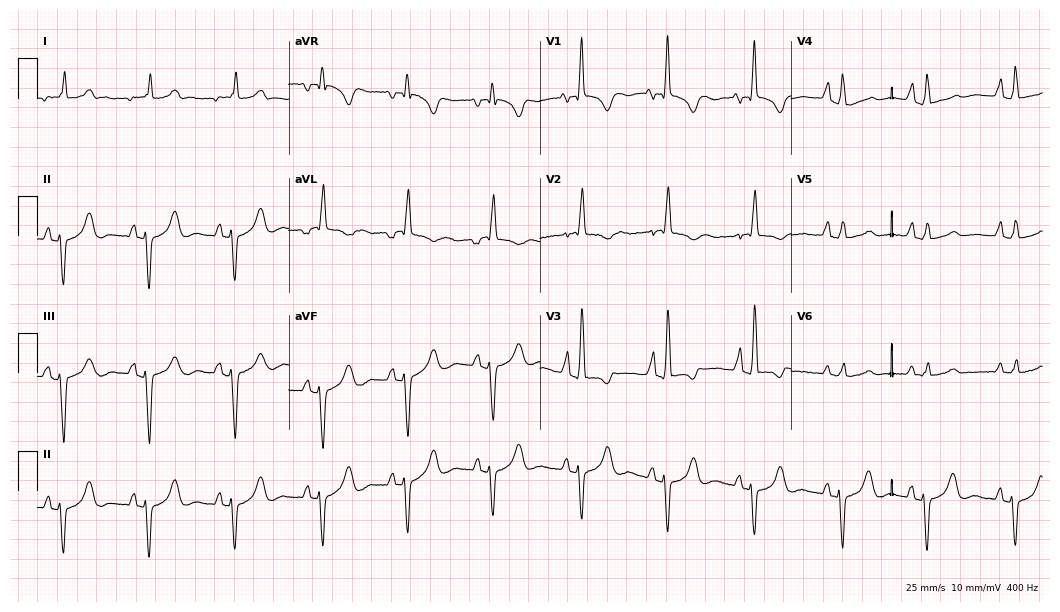
Resting 12-lead electrocardiogram. Patient: a female, 25 years old. None of these six findings is recorded: first-degree AV block, right bundle branch block (RBBB), left bundle branch block (LBBB), sinus bradycardia, atrial fibrillation (AF), sinus tachycardia. Other findings, if any, are not listed.